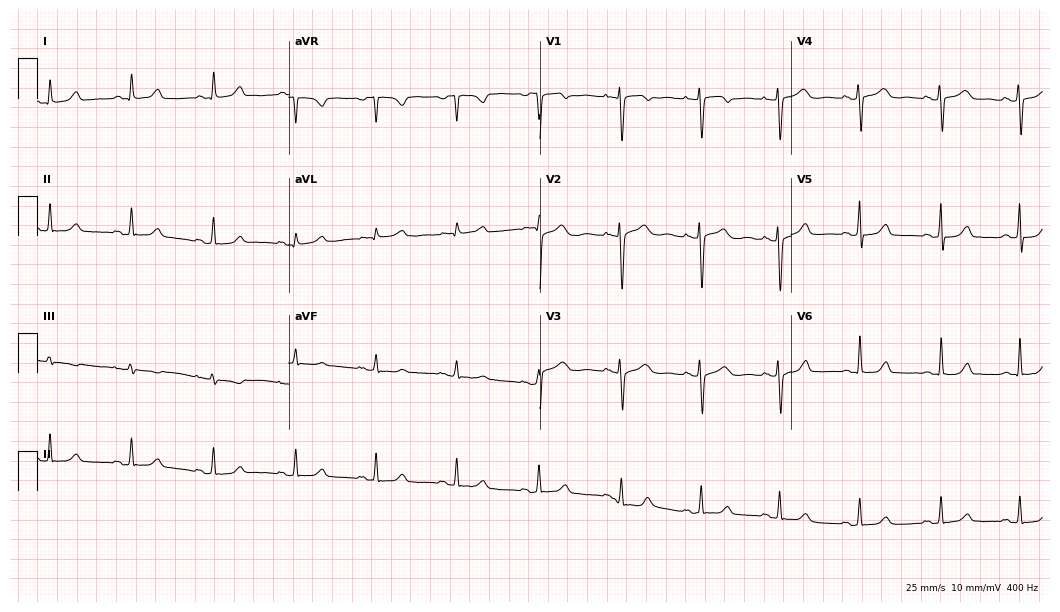
ECG — a 46-year-old woman. Labelled as a normal ECG.